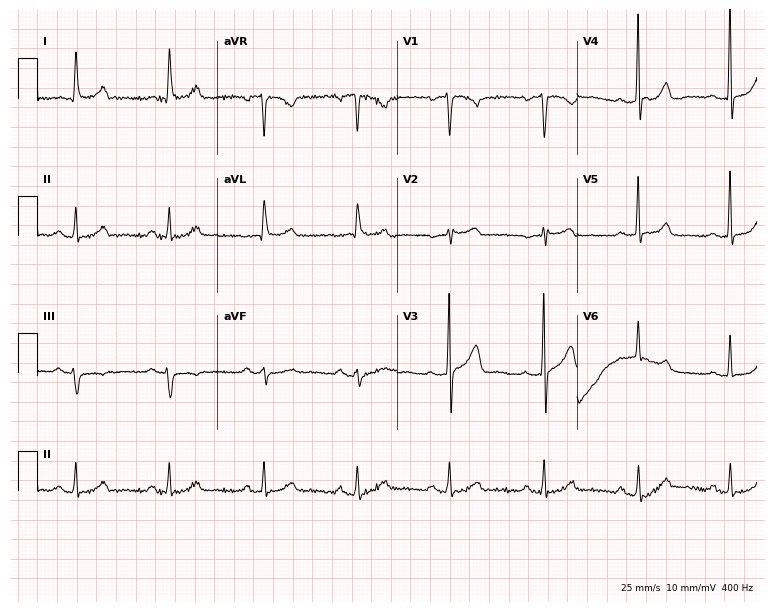
12-lead ECG from a male patient, 56 years old. Screened for six findings — first-degree AV block, right bundle branch block (RBBB), left bundle branch block (LBBB), sinus bradycardia, atrial fibrillation (AF), sinus tachycardia — none is recorded. Only these six findings were labelled.